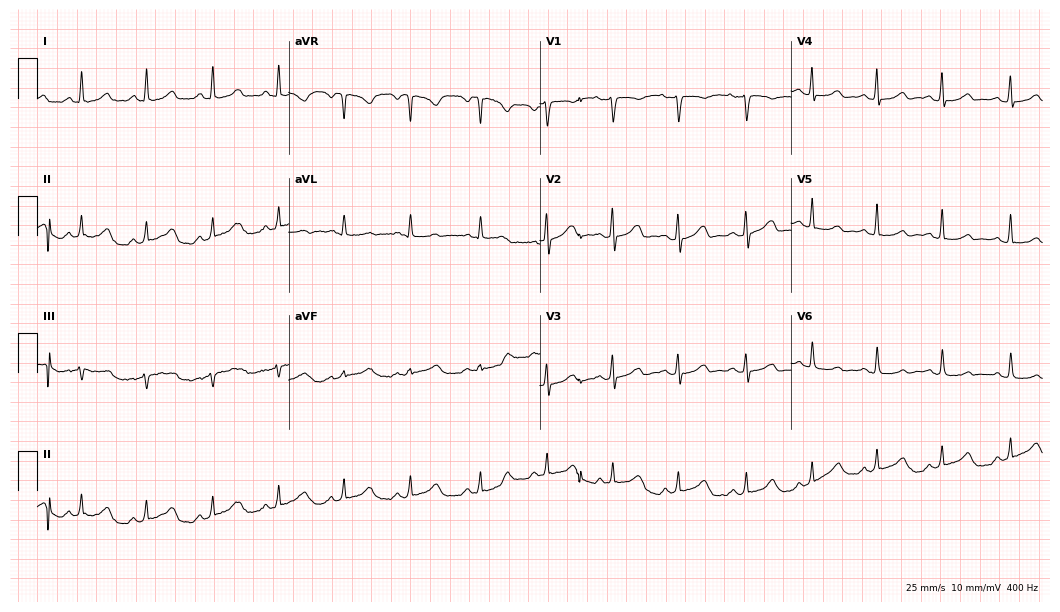
12-lead ECG from a 38-year-old female patient. Recorded interpretation: within normal limits.